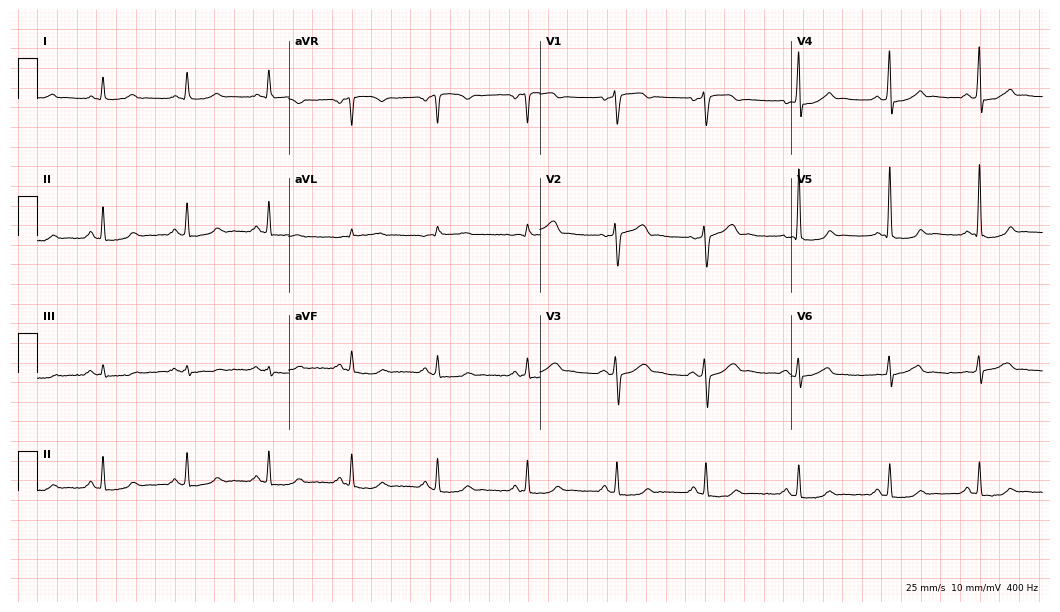
Electrocardiogram (10.2-second recording at 400 Hz), a man, 64 years old. Overall reading on record: normal ECG.